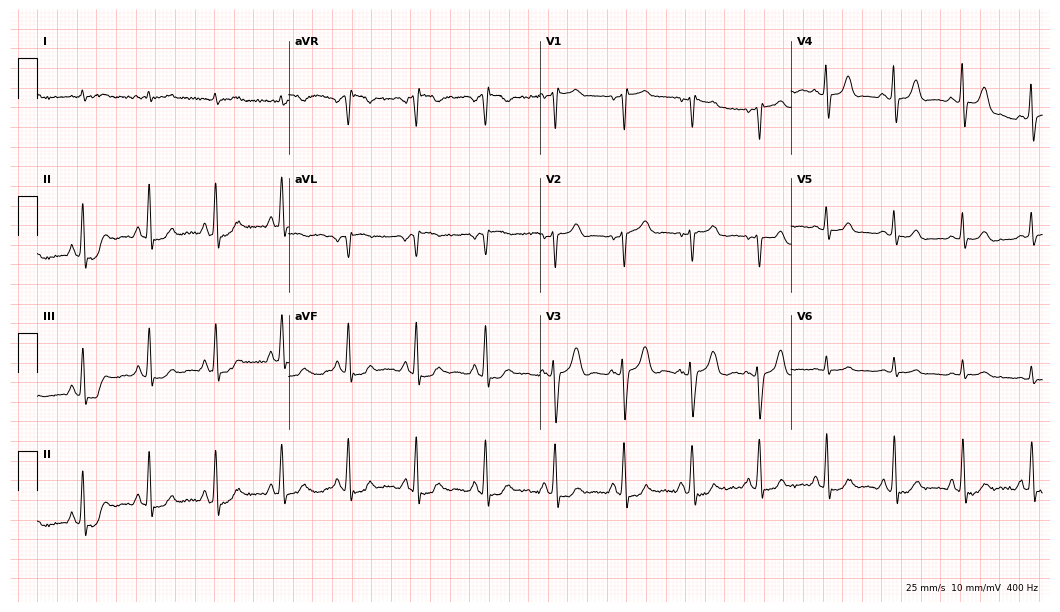
Resting 12-lead electrocardiogram. Patient: a 63-year-old male. Read as a normal ECG.